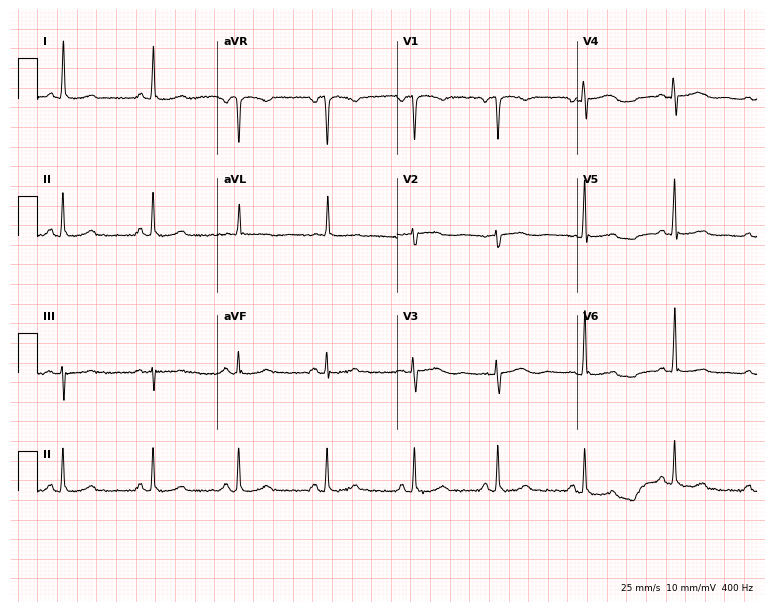
12-lead ECG from a 54-year-old female patient. Labelled as a normal ECG.